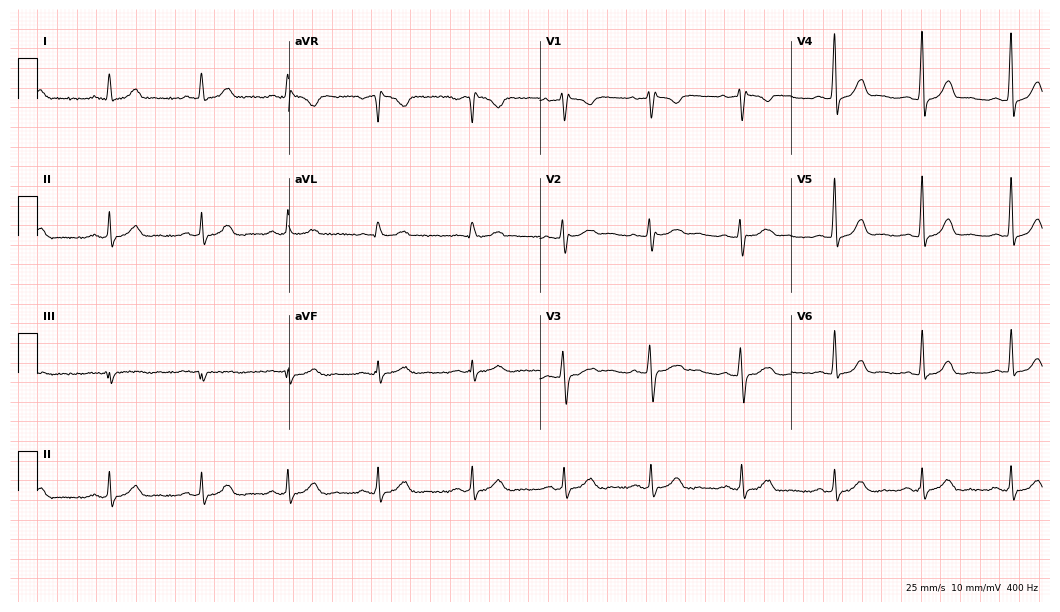
12-lead ECG from a 43-year-old woman. Screened for six findings — first-degree AV block, right bundle branch block, left bundle branch block, sinus bradycardia, atrial fibrillation, sinus tachycardia — none is recorded. Findings outside these six are not listed.